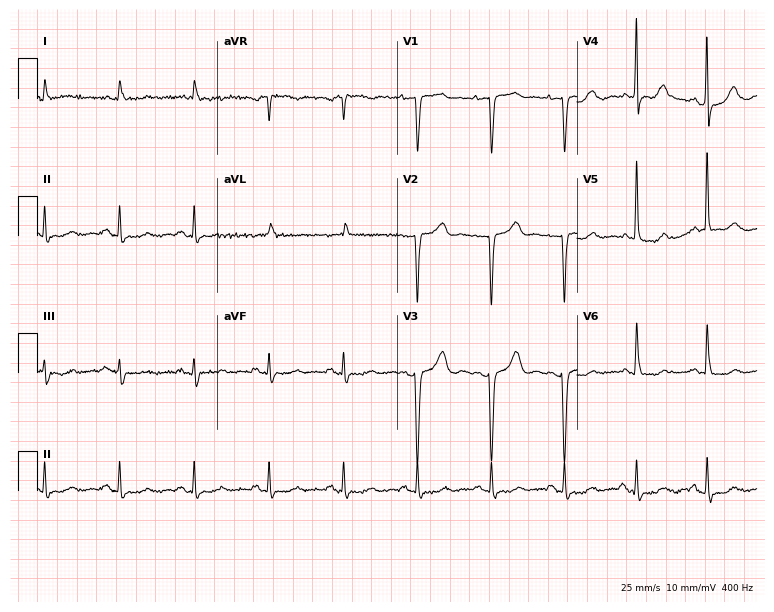
Standard 12-lead ECG recorded from a female patient, 82 years old (7.3-second recording at 400 Hz). None of these six findings is recorded: first-degree AV block, right bundle branch block, left bundle branch block, sinus bradycardia, atrial fibrillation, sinus tachycardia. Findings outside these six are not listed.